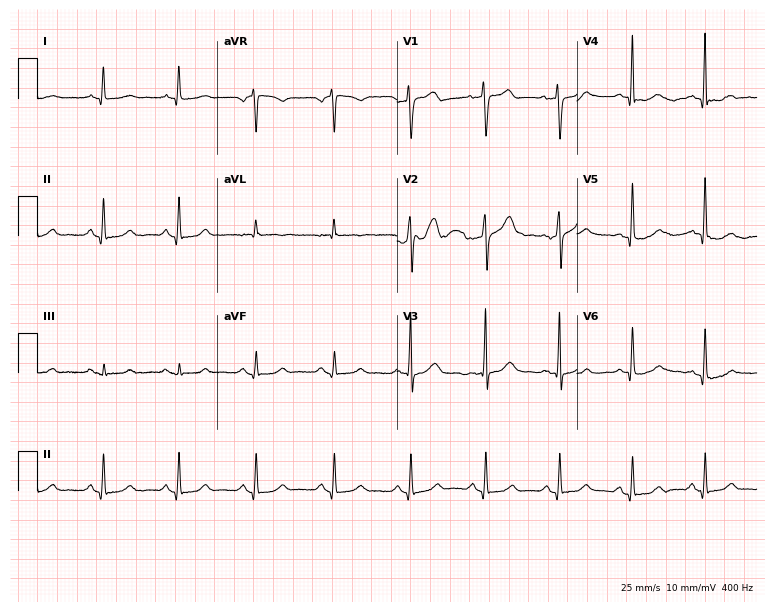
Standard 12-lead ECG recorded from a man, 54 years old (7.3-second recording at 400 Hz). None of these six findings is recorded: first-degree AV block, right bundle branch block (RBBB), left bundle branch block (LBBB), sinus bradycardia, atrial fibrillation (AF), sinus tachycardia.